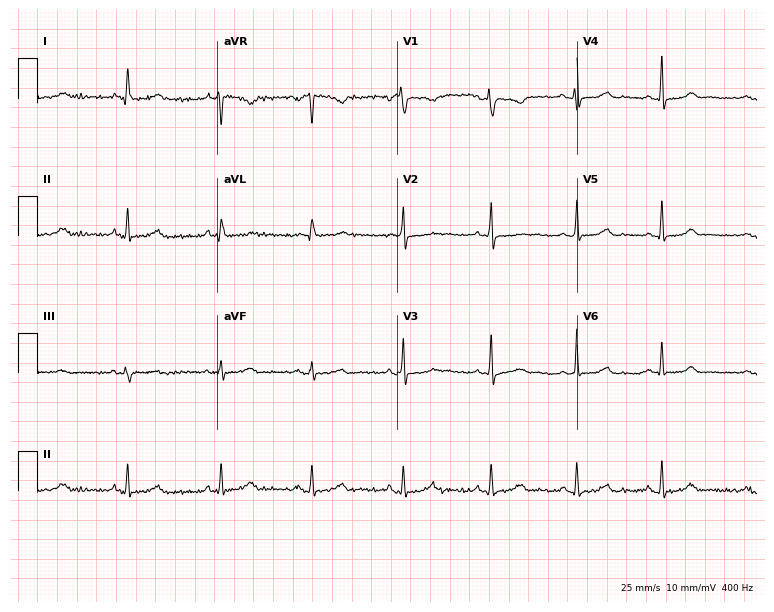
Standard 12-lead ECG recorded from a 31-year-old female patient (7.3-second recording at 400 Hz). None of these six findings is recorded: first-degree AV block, right bundle branch block (RBBB), left bundle branch block (LBBB), sinus bradycardia, atrial fibrillation (AF), sinus tachycardia.